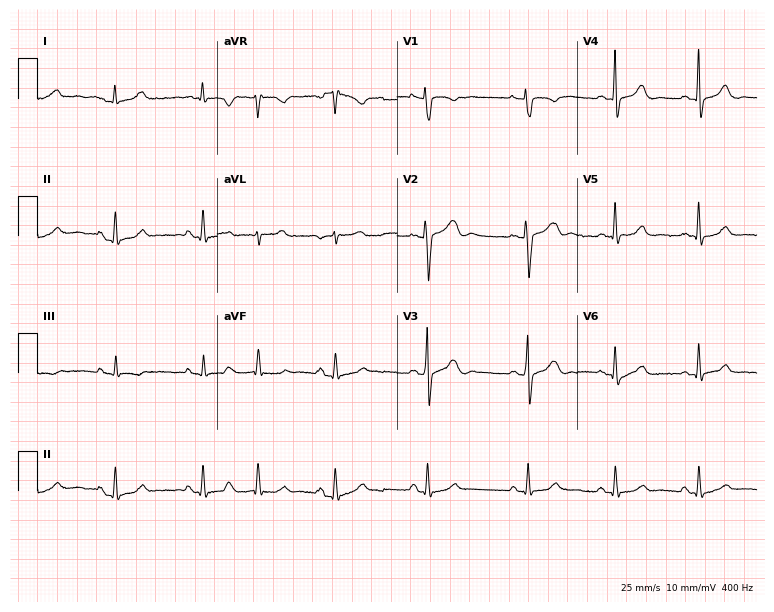
ECG — a 44-year-old female patient. Screened for six findings — first-degree AV block, right bundle branch block, left bundle branch block, sinus bradycardia, atrial fibrillation, sinus tachycardia — none is recorded.